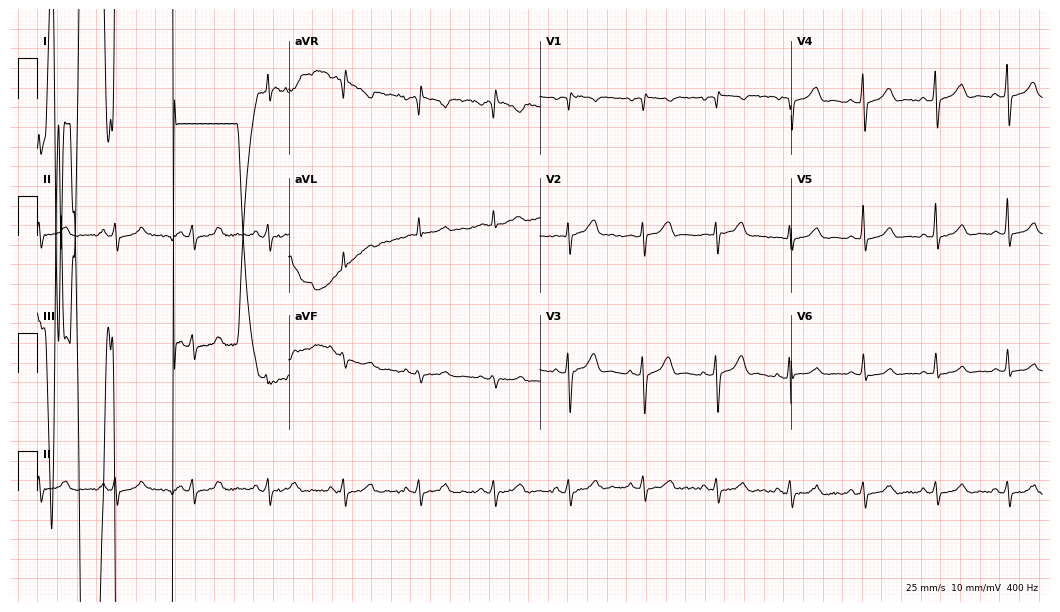
Resting 12-lead electrocardiogram (10.2-second recording at 400 Hz). Patient: a 72-year-old male. None of these six findings is recorded: first-degree AV block, right bundle branch block (RBBB), left bundle branch block (LBBB), sinus bradycardia, atrial fibrillation (AF), sinus tachycardia. Only these six findings were labelled.